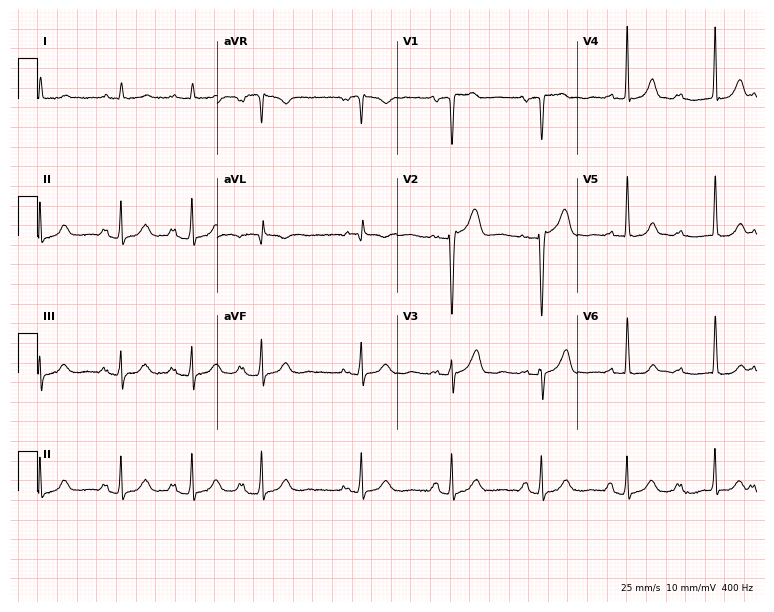
Resting 12-lead electrocardiogram. Patient: a 59-year-old female. None of these six findings is recorded: first-degree AV block, right bundle branch block, left bundle branch block, sinus bradycardia, atrial fibrillation, sinus tachycardia. Only these six findings were labelled.